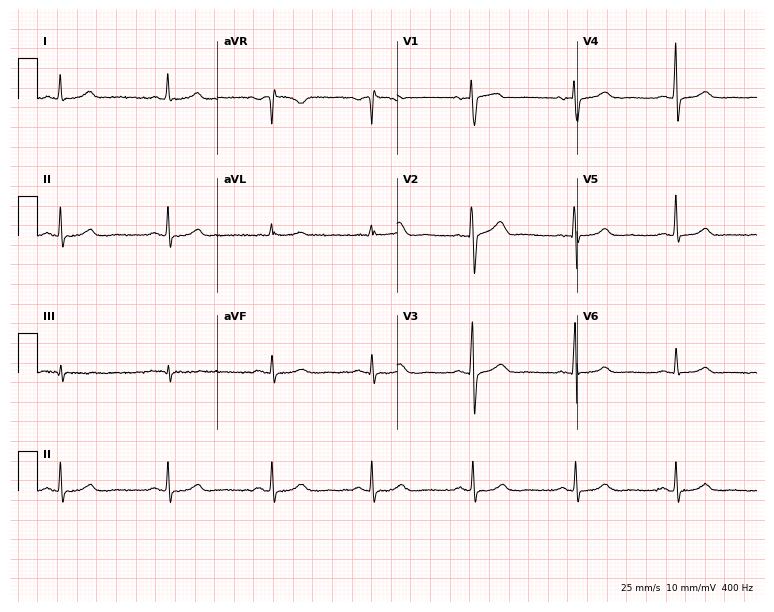
12-lead ECG from a 70-year-old female (7.3-second recording at 400 Hz). Recorded interpretation: within normal limits.